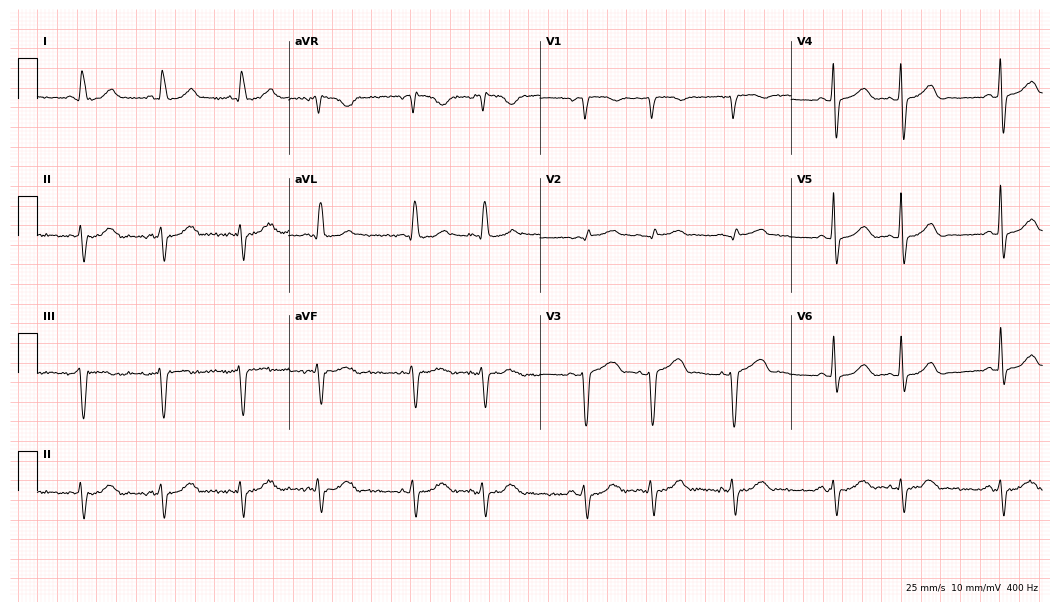
Standard 12-lead ECG recorded from a woman, 73 years old (10.2-second recording at 400 Hz). None of these six findings is recorded: first-degree AV block, right bundle branch block, left bundle branch block, sinus bradycardia, atrial fibrillation, sinus tachycardia.